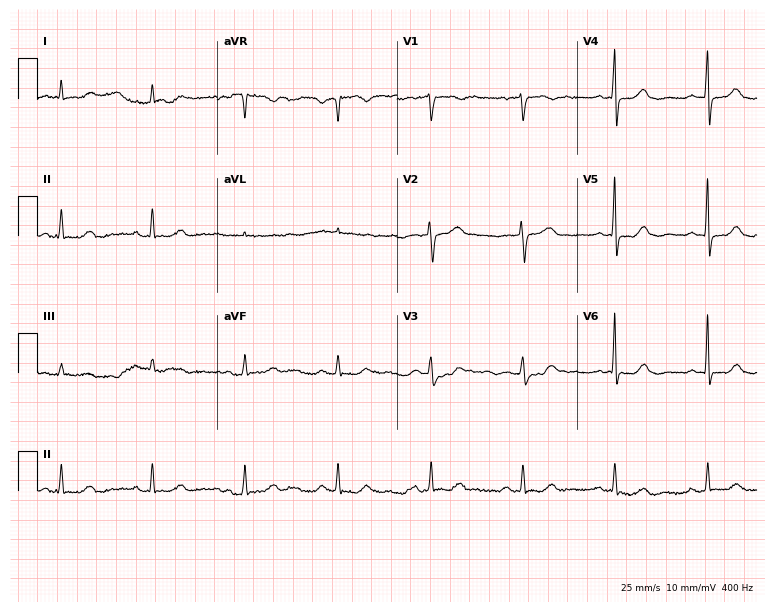
ECG (7.3-second recording at 400 Hz) — a woman, 81 years old. Labelled as a normal ECG.